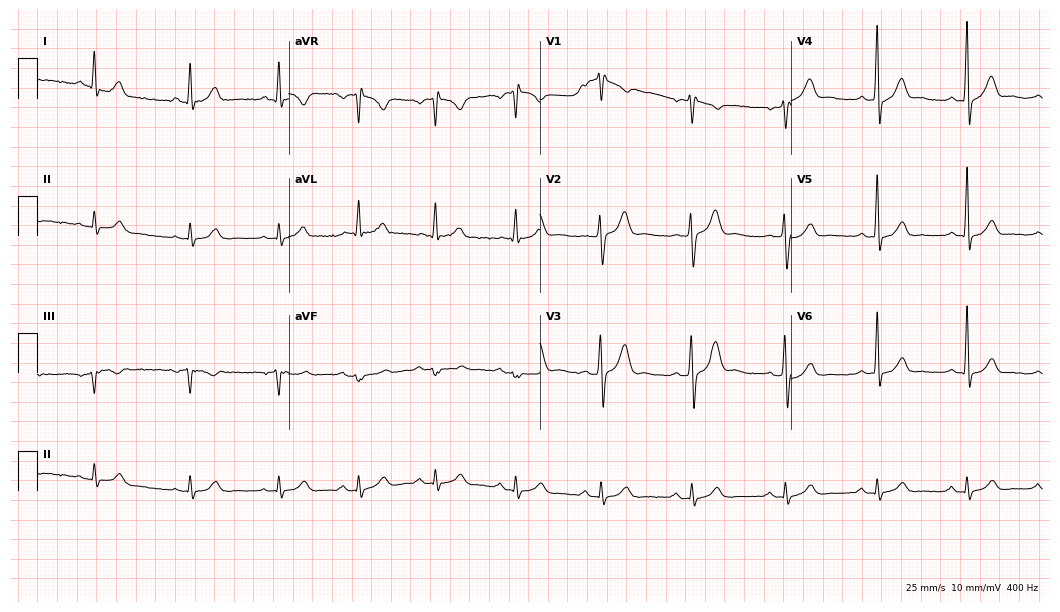
Resting 12-lead electrocardiogram (10.2-second recording at 400 Hz). Patient: a male, 39 years old. Read as a normal ECG.